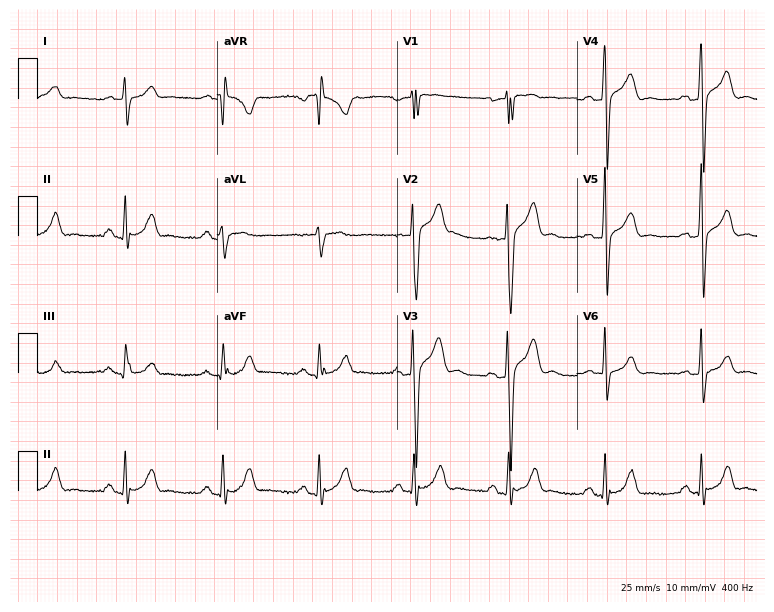
12-lead ECG (7.3-second recording at 400 Hz) from a 42-year-old male patient. Screened for six findings — first-degree AV block, right bundle branch block, left bundle branch block, sinus bradycardia, atrial fibrillation, sinus tachycardia — none is recorded. Other findings, if any, are not listed.